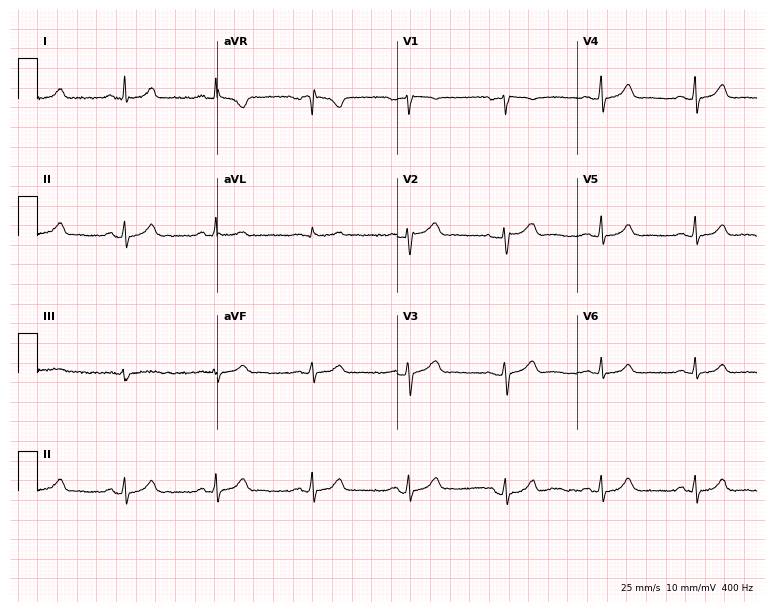
12-lead ECG from a female patient, 48 years old. Labelled as a normal ECG.